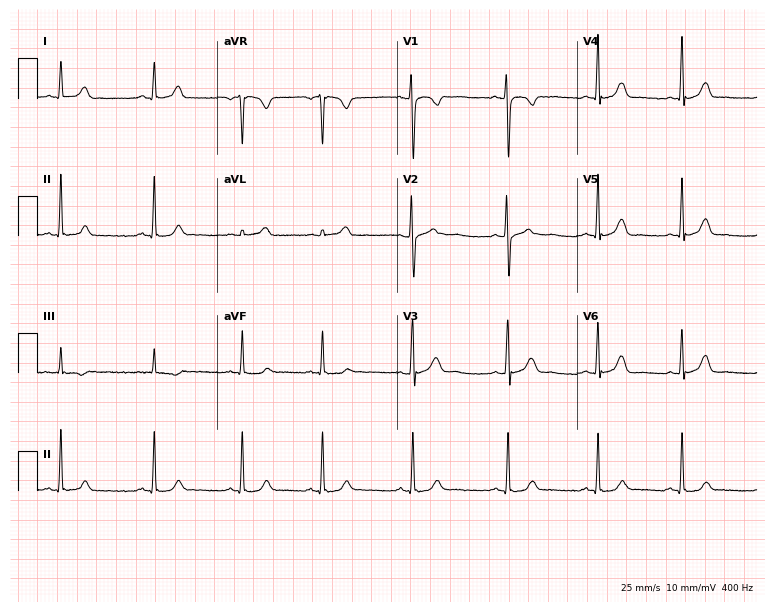
12-lead ECG from a 22-year-old female (7.3-second recording at 400 Hz). No first-degree AV block, right bundle branch block (RBBB), left bundle branch block (LBBB), sinus bradycardia, atrial fibrillation (AF) or sinus tachycardia recorded for this tracing. Only these six findings were labelled.